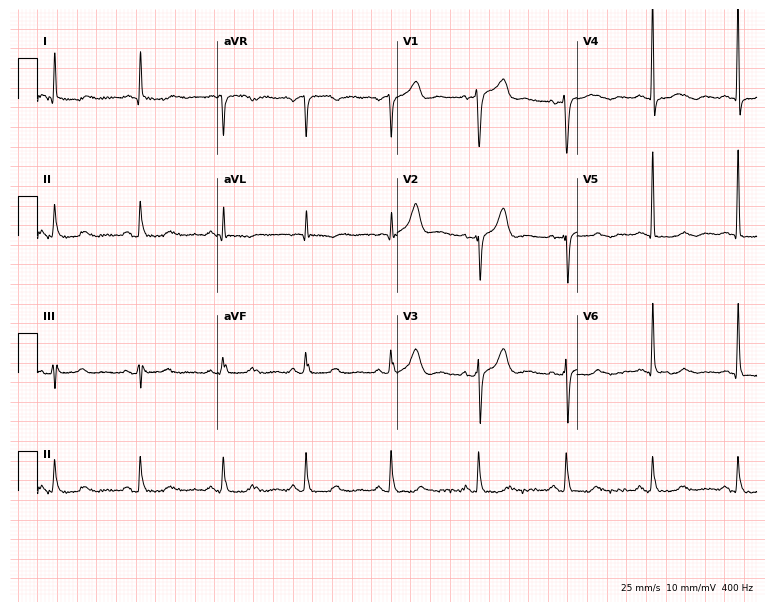
12-lead ECG from a female patient, 70 years old. No first-degree AV block, right bundle branch block (RBBB), left bundle branch block (LBBB), sinus bradycardia, atrial fibrillation (AF) or sinus tachycardia recorded for this tracing. Findings outside these six are not listed.